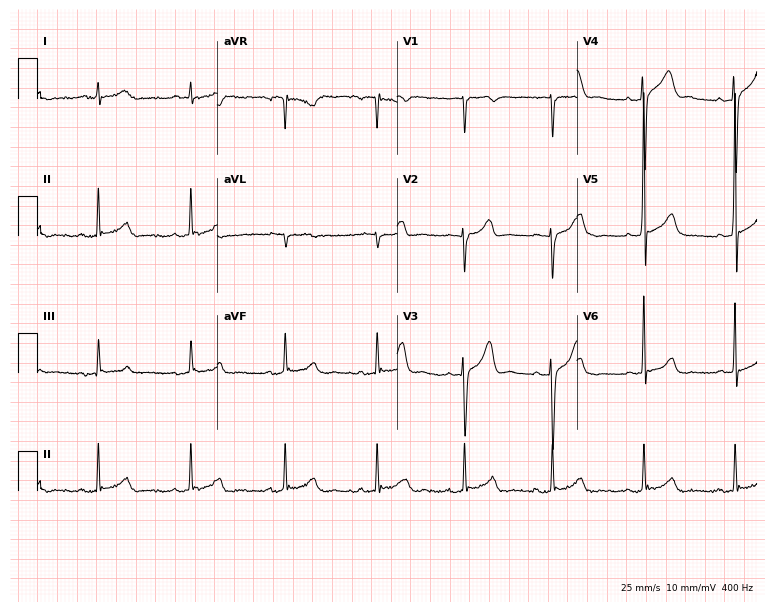
Standard 12-lead ECG recorded from a 28-year-old male patient (7.3-second recording at 400 Hz). None of these six findings is recorded: first-degree AV block, right bundle branch block (RBBB), left bundle branch block (LBBB), sinus bradycardia, atrial fibrillation (AF), sinus tachycardia. Only these six findings were labelled.